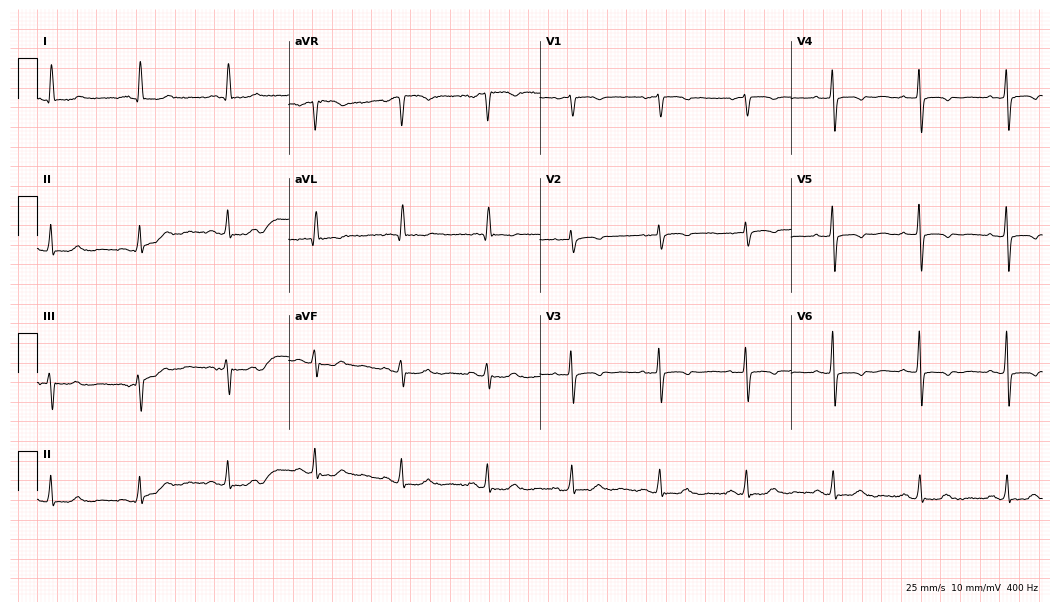
Electrocardiogram, a female, 85 years old. Of the six screened findings (first-degree AV block, right bundle branch block (RBBB), left bundle branch block (LBBB), sinus bradycardia, atrial fibrillation (AF), sinus tachycardia), none is recorded.